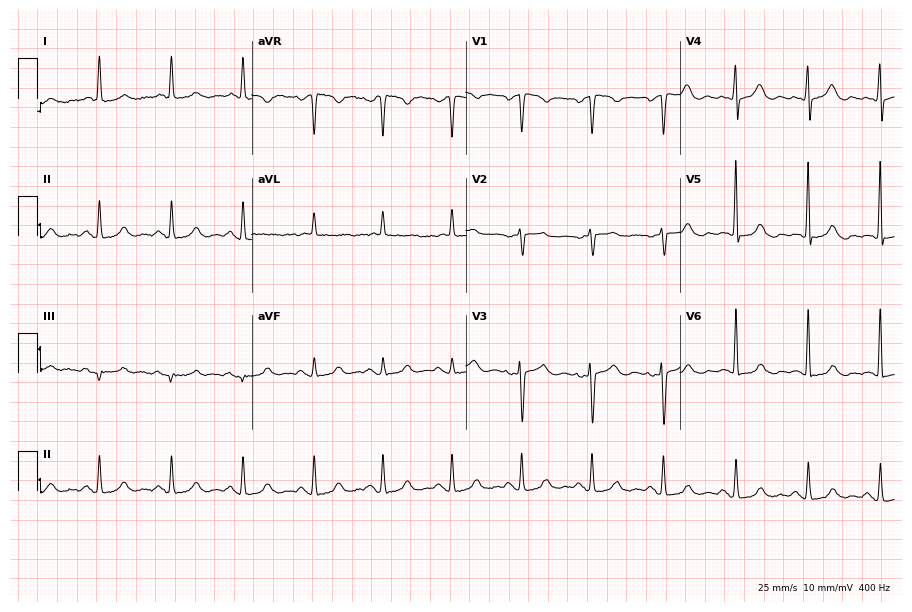
12-lead ECG from an 82-year-old woman. Labelled as a normal ECG.